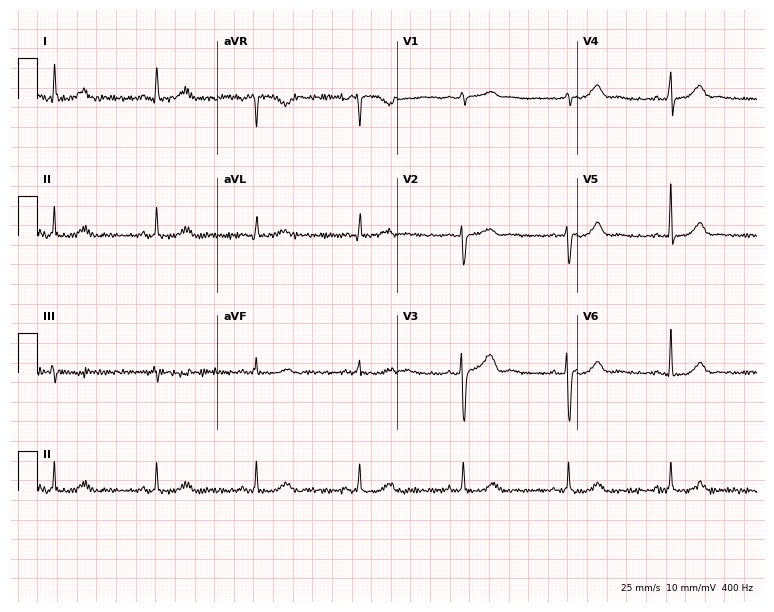
12-lead ECG from a 36-year-old female patient. Labelled as a normal ECG.